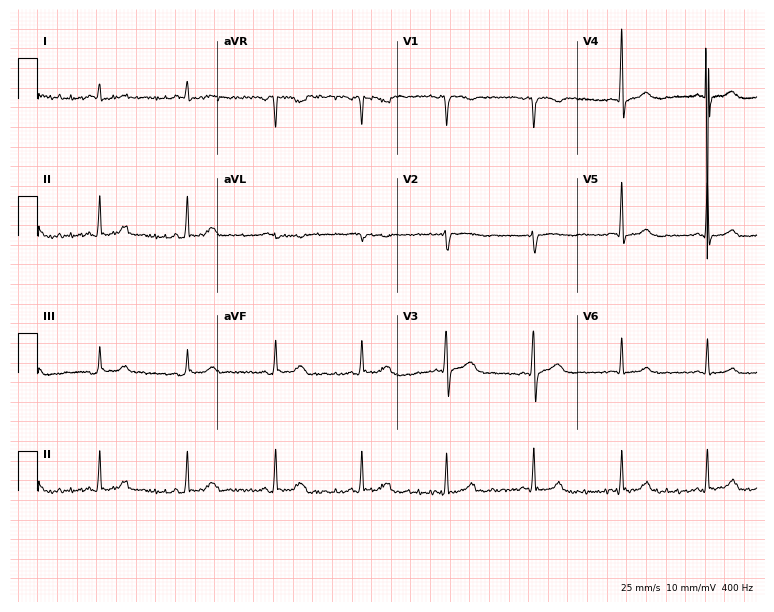
Resting 12-lead electrocardiogram. Patient: a female, 33 years old. None of these six findings is recorded: first-degree AV block, right bundle branch block (RBBB), left bundle branch block (LBBB), sinus bradycardia, atrial fibrillation (AF), sinus tachycardia.